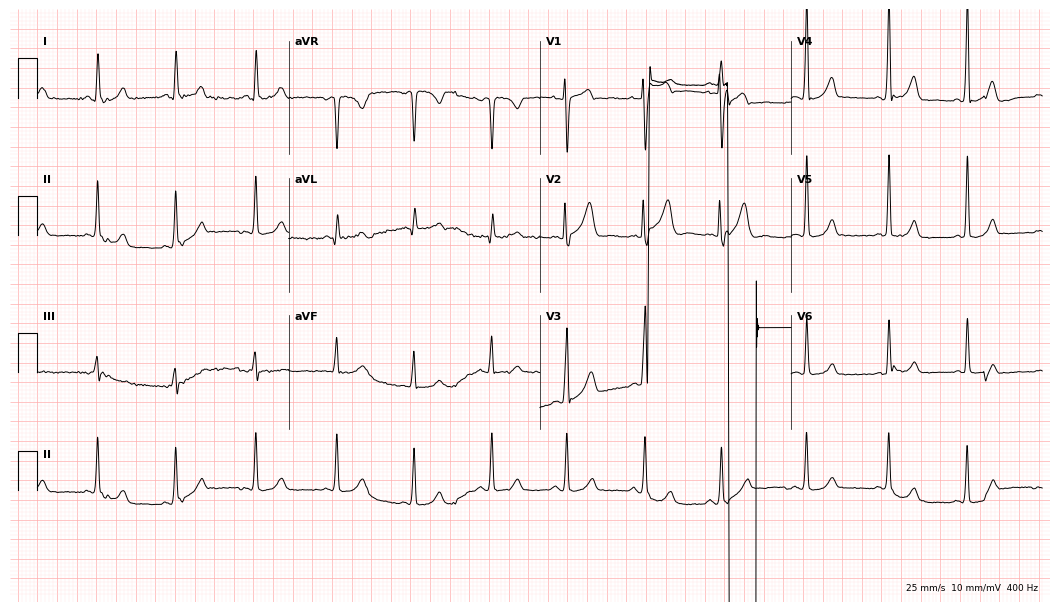
12-lead ECG from a 37-year-old woman. Screened for six findings — first-degree AV block, right bundle branch block, left bundle branch block, sinus bradycardia, atrial fibrillation, sinus tachycardia — none is recorded.